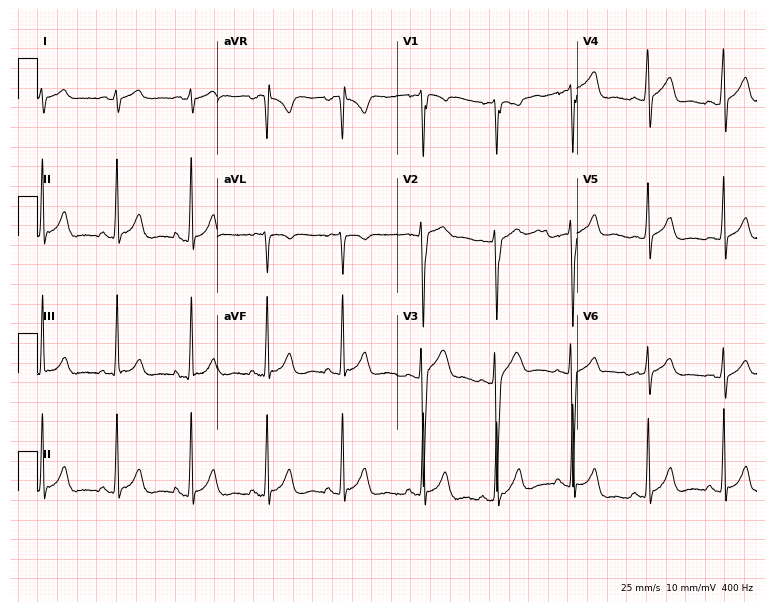
Standard 12-lead ECG recorded from a 17-year-old male (7.3-second recording at 400 Hz). None of these six findings is recorded: first-degree AV block, right bundle branch block (RBBB), left bundle branch block (LBBB), sinus bradycardia, atrial fibrillation (AF), sinus tachycardia.